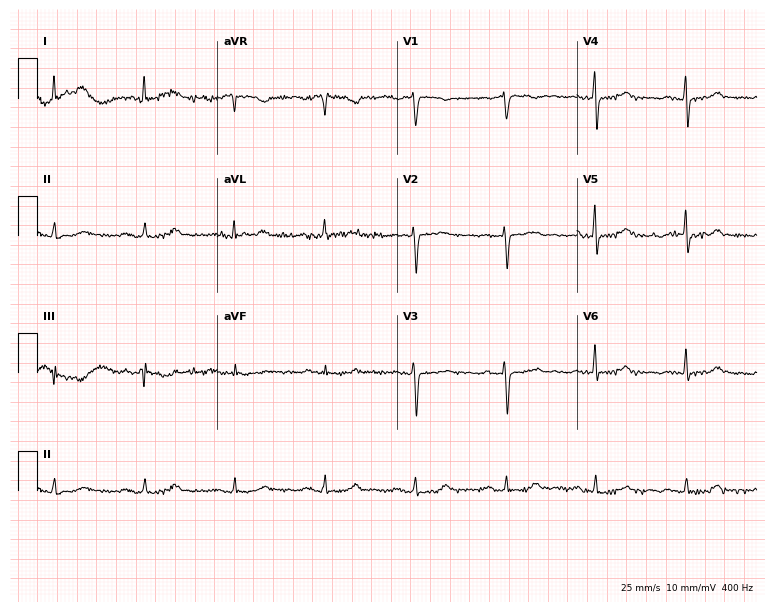
12-lead ECG from a 77-year-old woman (7.3-second recording at 400 Hz). No first-degree AV block, right bundle branch block, left bundle branch block, sinus bradycardia, atrial fibrillation or sinus tachycardia recorded for this tracing.